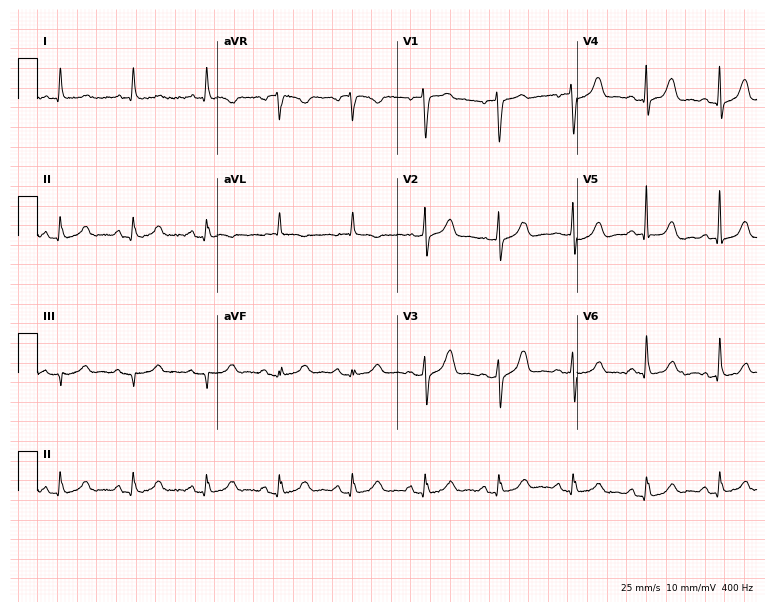
Electrocardiogram (7.3-second recording at 400 Hz), a woman, 67 years old. Overall reading on record: normal ECG.